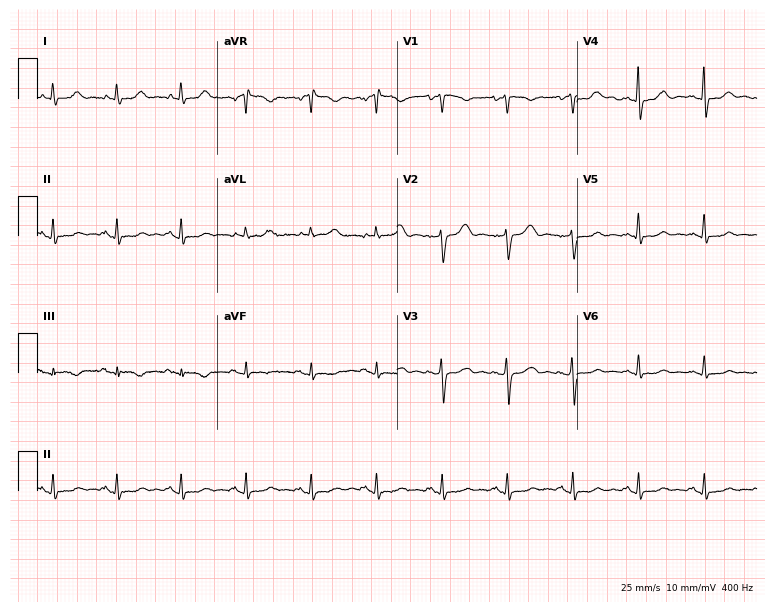
12-lead ECG from a female, 45 years old (7.3-second recording at 400 Hz). Recorded interpretation: within normal limits.